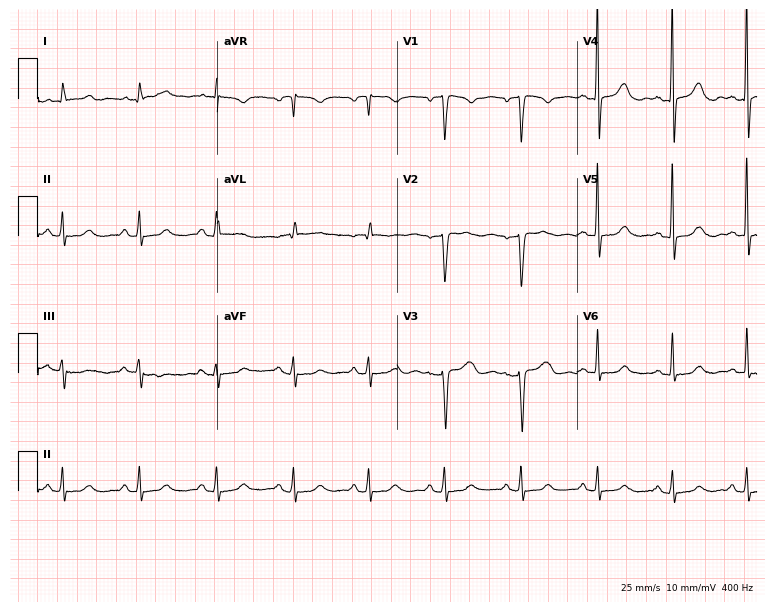
ECG — a 42-year-old female. Screened for six findings — first-degree AV block, right bundle branch block (RBBB), left bundle branch block (LBBB), sinus bradycardia, atrial fibrillation (AF), sinus tachycardia — none is recorded. Other findings, if any, are not listed.